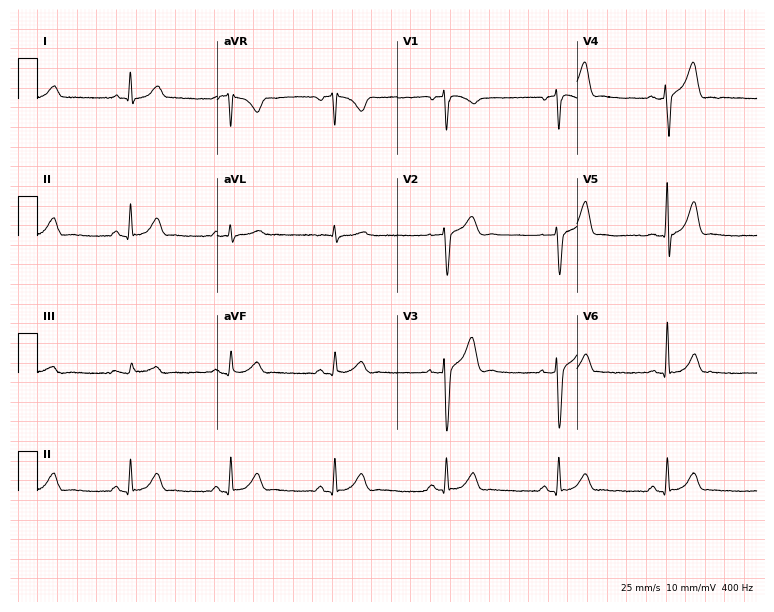
Standard 12-lead ECG recorded from a female patient, 36 years old. None of these six findings is recorded: first-degree AV block, right bundle branch block (RBBB), left bundle branch block (LBBB), sinus bradycardia, atrial fibrillation (AF), sinus tachycardia.